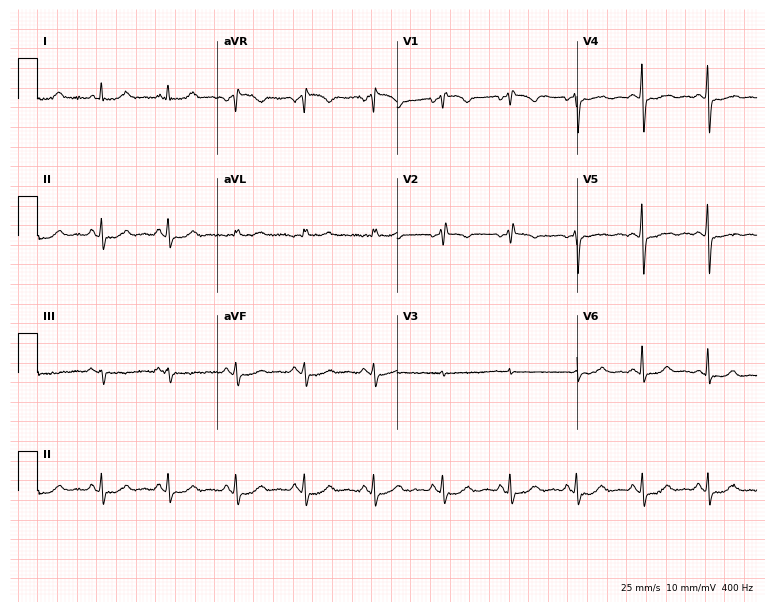
ECG (7.3-second recording at 400 Hz) — a 68-year-old female patient. Screened for six findings — first-degree AV block, right bundle branch block, left bundle branch block, sinus bradycardia, atrial fibrillation, sinus tachycardia — none is recorded. Other findings, if any, are not listed.